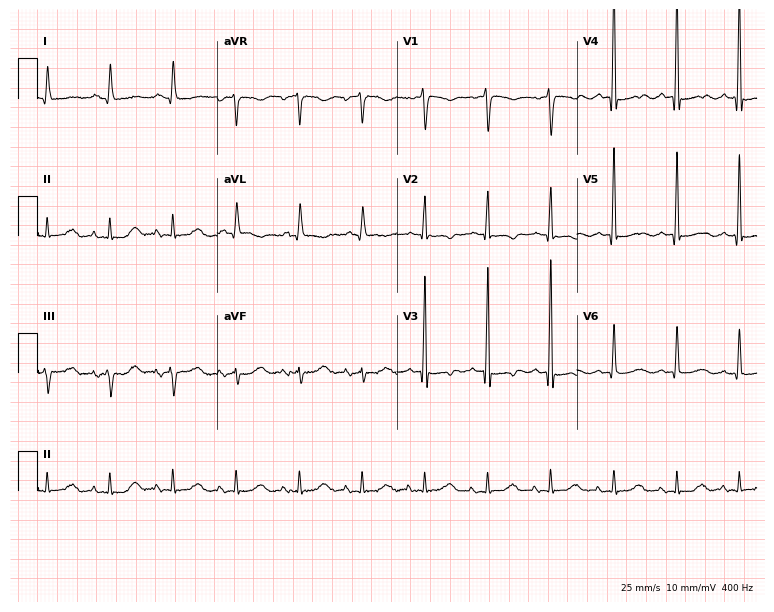
Standard 12-lead ECG recorded from a woman, 80 years old (7.3-second recording at 400 Hz). None of these six findings is recorded: first-degree AV block, right bundle branch block, left bundle branch block, sinus bradycardia, atrial fibrillation, sinus tachycardia. Findings outside these six are not listed.